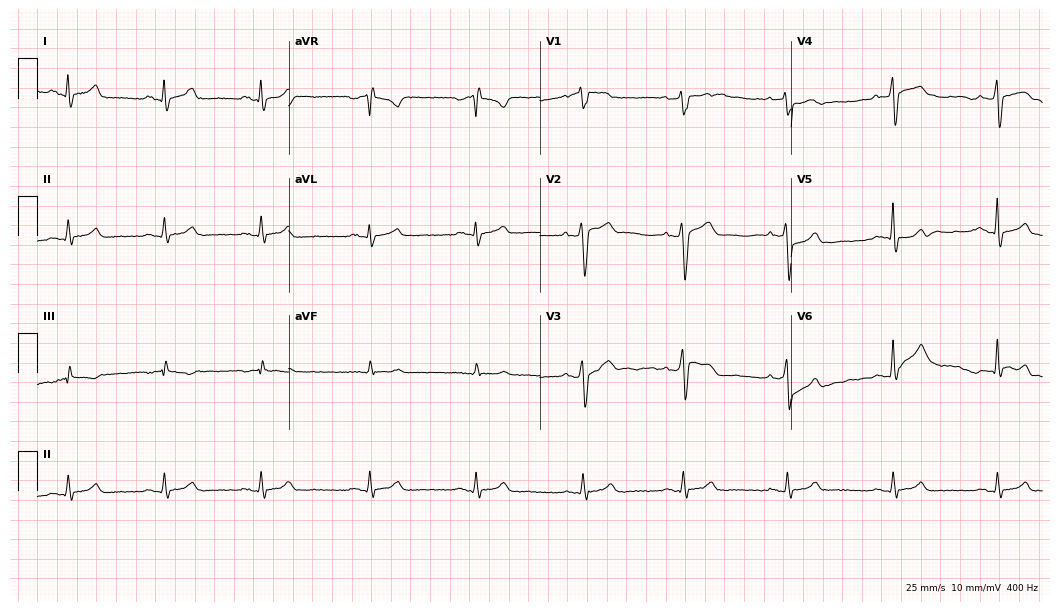
Standard 12-lead ECG recorded from a male patient, 38 years old. Read as a normal ECG.